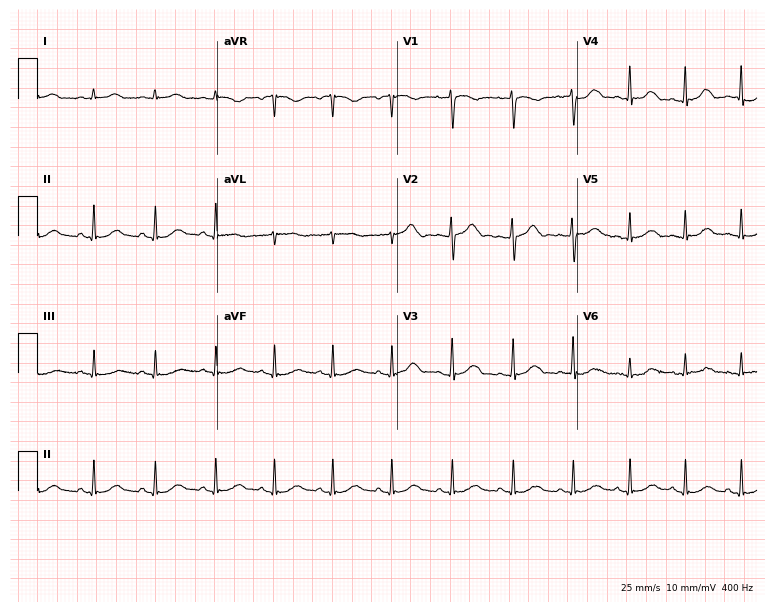
12-lead ECG from a 25-year-old woman. No first-degree AV block, right bundle branch block, left bundle branch block, sinus bradycardia, atrial fibrillation or sinus tachycardia recorded for this tracing.